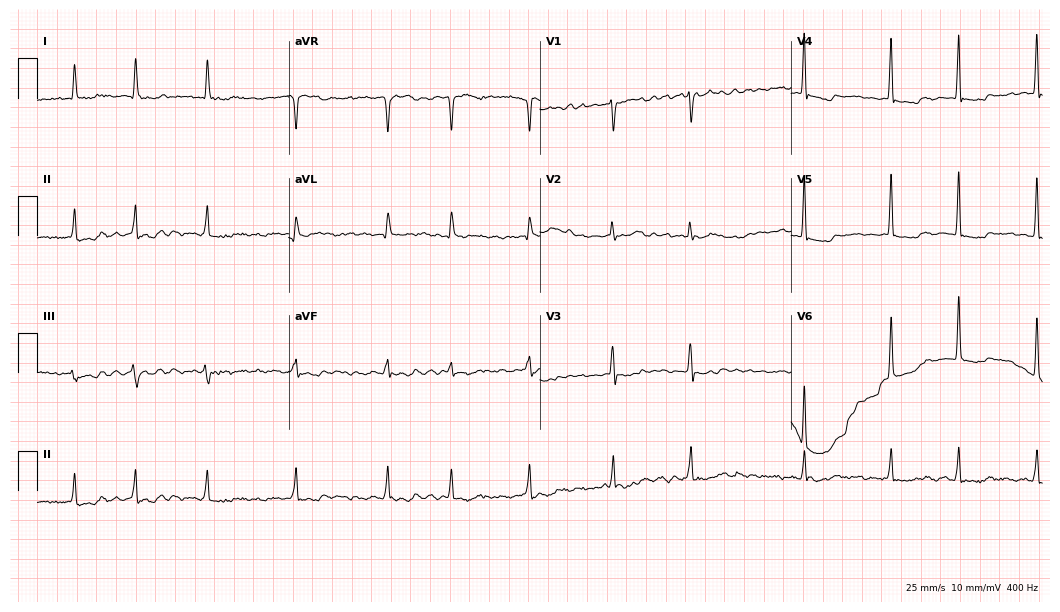
Resting 12-lead electrocardiogram. Patient: a 74-year-old female. The tracing shows atrial fibrillation (AF).